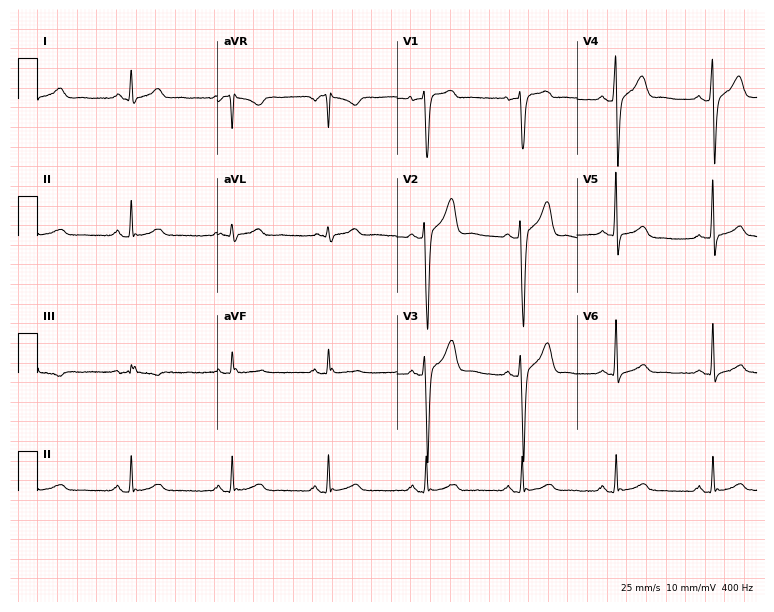
12-lead ECG from a 38-year-old male patient (7.3-second recording at 400 Hz). Recorded interpretation: within normal limits.